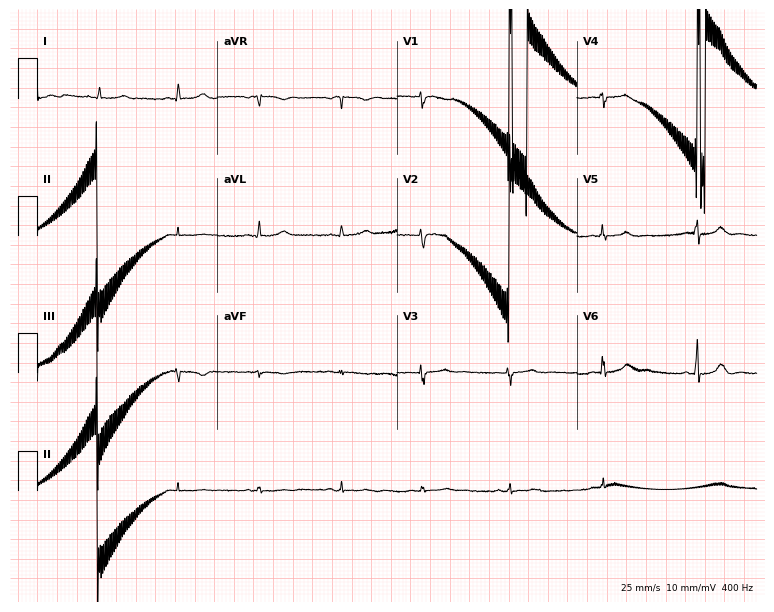
ECG (7.3-second recording at 400 Hz) — a female, 33 years old. Screened for six findings — first-degree AV block, right bundle branch block, left bundle branch block, sinus bradycardia, atrial fibrillation, sinus tachycardia — none is recorded.